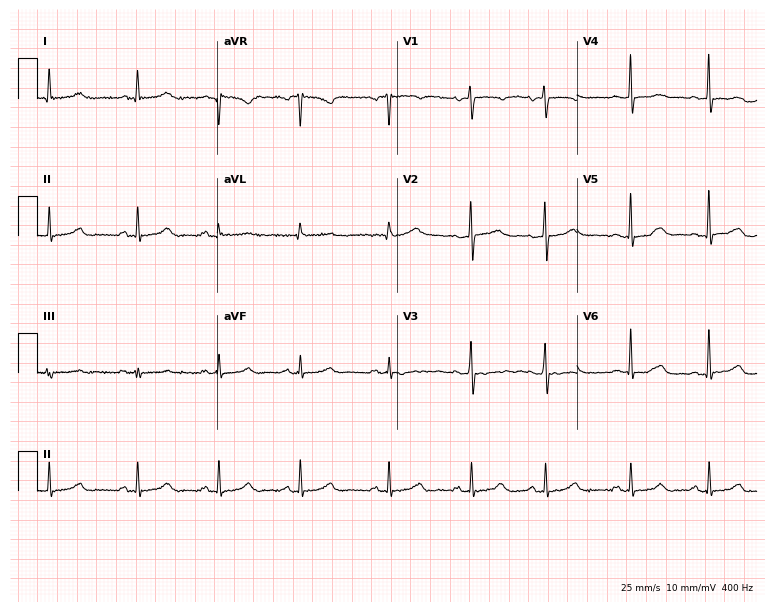
Standard 12-lead ECG recorded from a 44-year-old woman. None of these six findings is recorded: first-degree AV block, right bundle branch block, left bundle branch block, sinus bradycardia, atrial fibrillation, sinus tachycardia. Only these six findings were labelled.